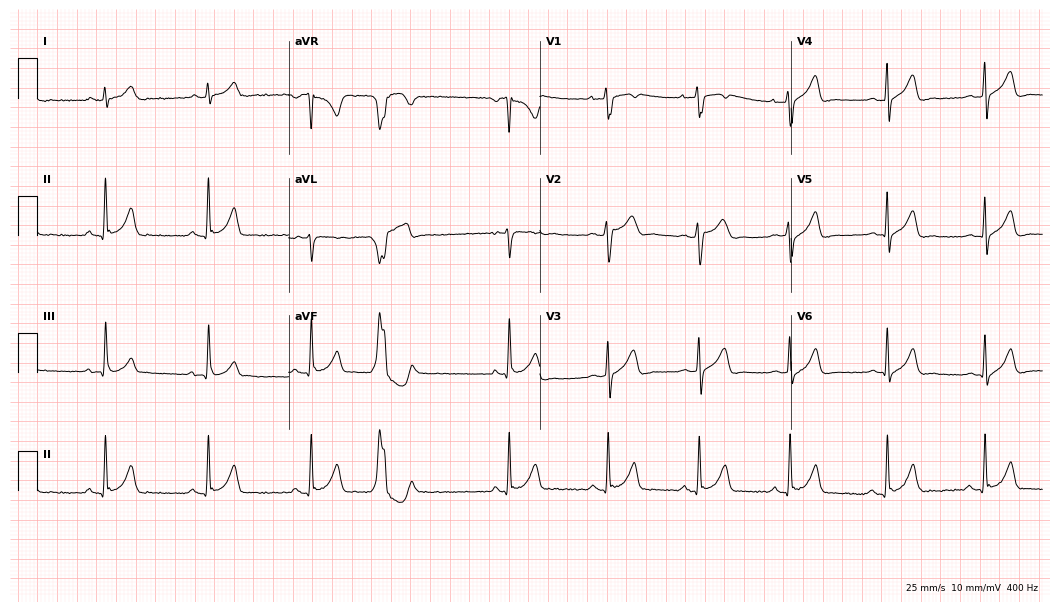
Resting 12-lead electrocardiogram. Patient: a 21-year-old male. None of these six findings is recorded: first-degree AV block, right bundle branch block, left bundle branch block, sinus bradycardia, atrial fibrillation, sinus tachycardia.